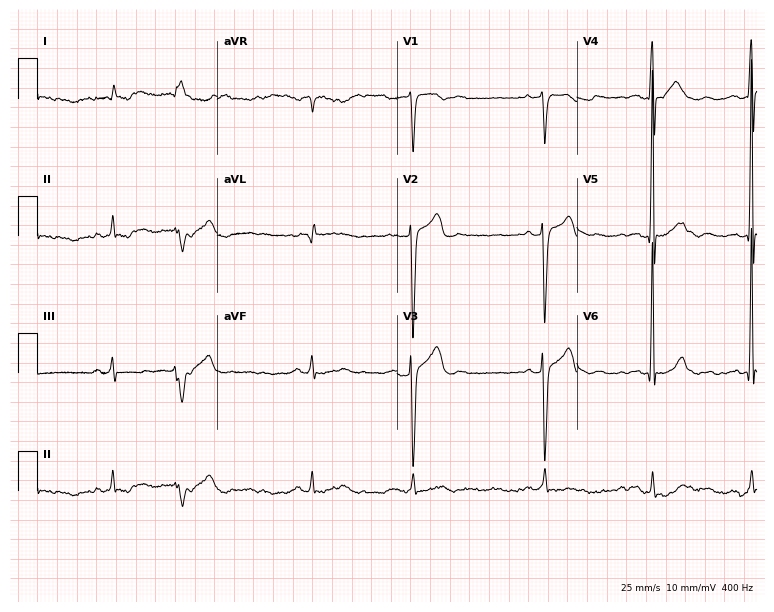
Electrocardiogram, a 48-year-old male patient. Of the six screened findings (first-degree AV block, right bundle branch block, left bundle branch block, sinus bradycardia, atrial fibrillation, sinus tachycardia), none is recorded.